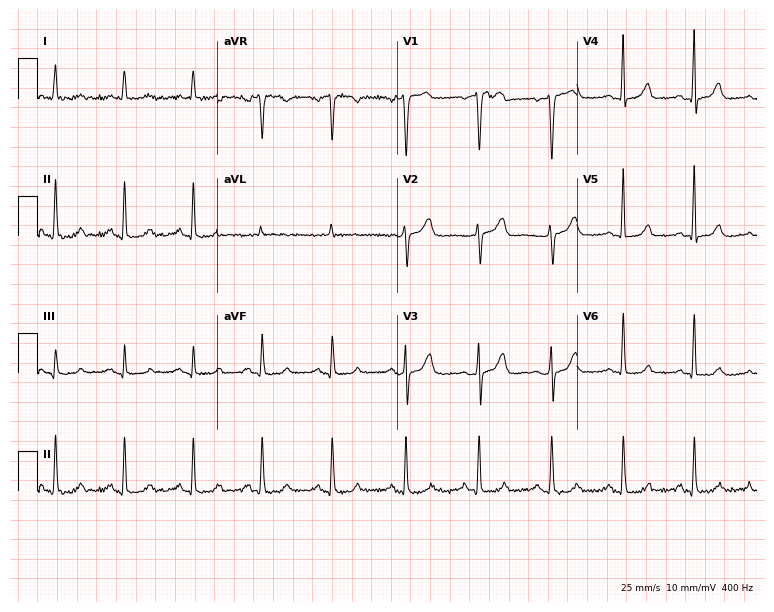
12-lead ECG from a 52-year-old woman. No first-degree AV block, right bundle branch block, left bundle branch block, sinus bradycardia, atrial fibrillation or sinus tachycardia recorded for this tracing. Findings outside these six are not listed.